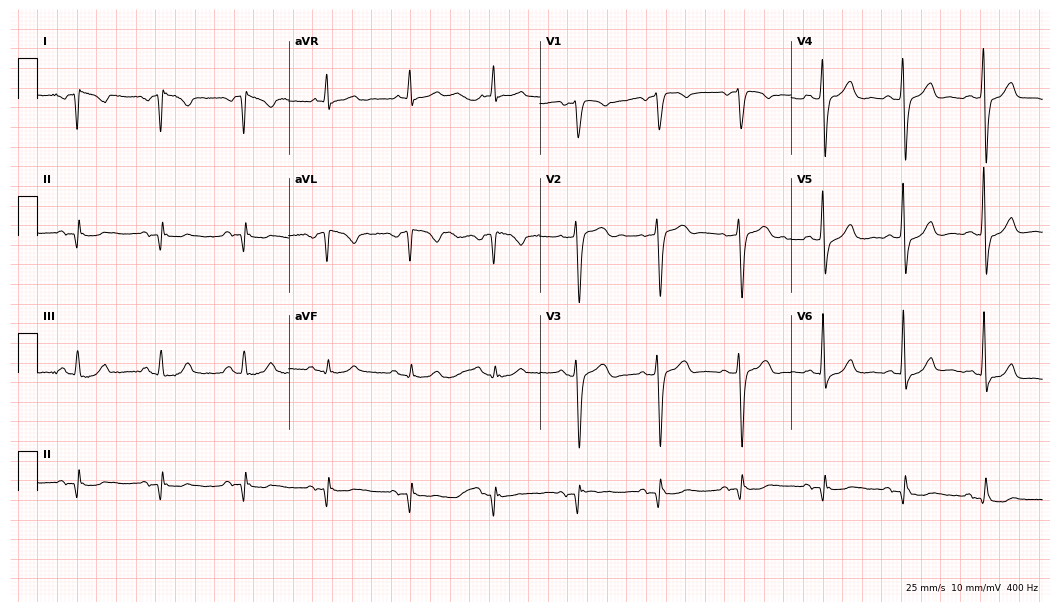
ECG — a 58-year-old female. Screened for six findings — first-degree AV block, right bundle branch block, left bundle branch block, sinus bradycardia, atrial fibrillation, sinus tachycardia — none is recorded. Only these six findings were labelled.